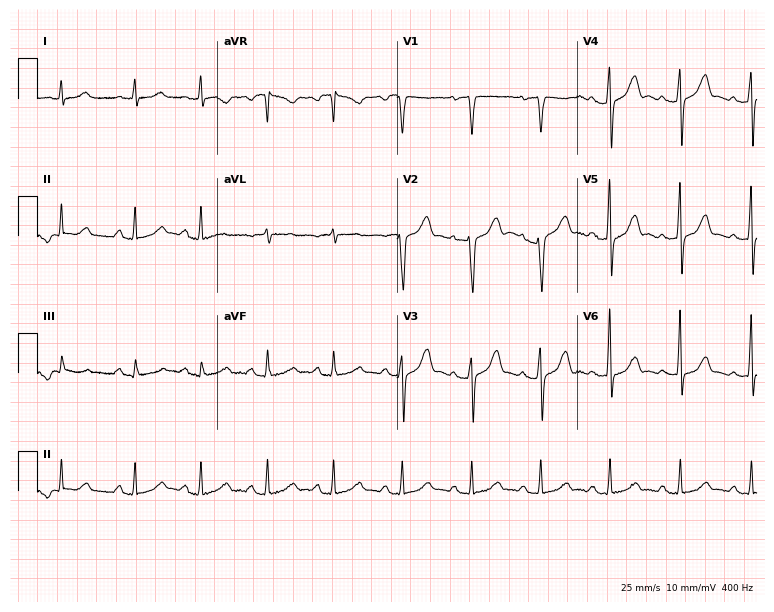
ECG — a female patient, 52 years old. Screened for six findings — first-degree AV block, right bundle branch block, left bundle branch block, sinus bradycardia, atrial fibrillation, sinus tachycardia — none is recorded.